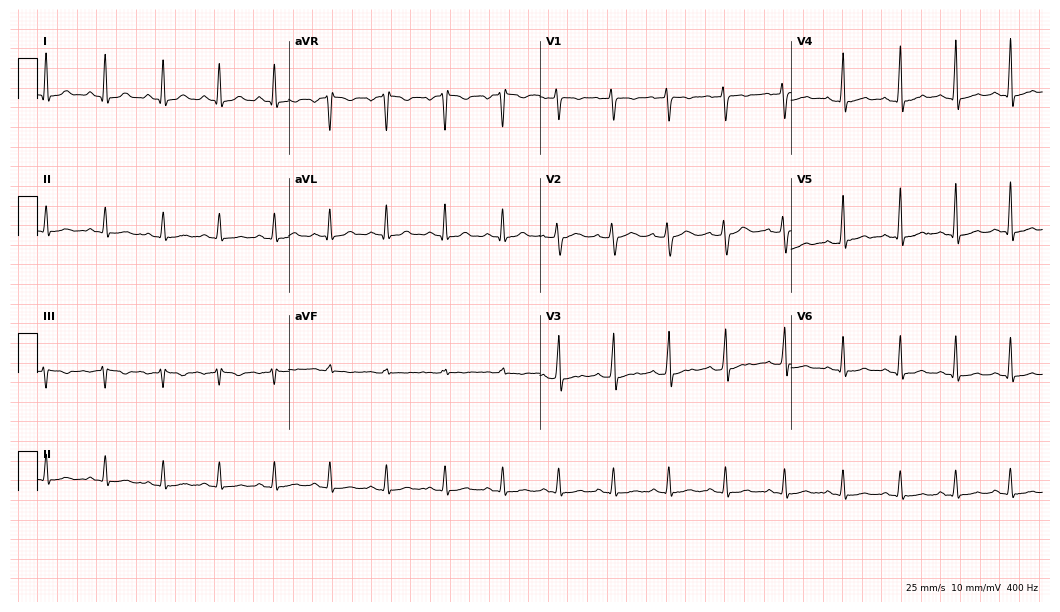
Electrocardiogram, a 30-year-old female. Interpretation includes sinus tachycardia (a sinus rate of 100 beats per minute or more).